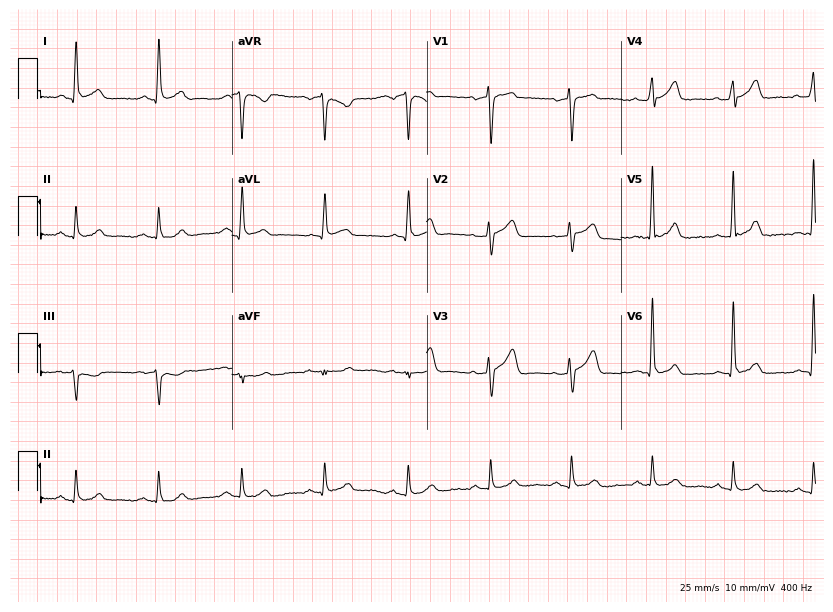
12-lead ECG from a male, 55 years old. Labelled as a normal ECG.